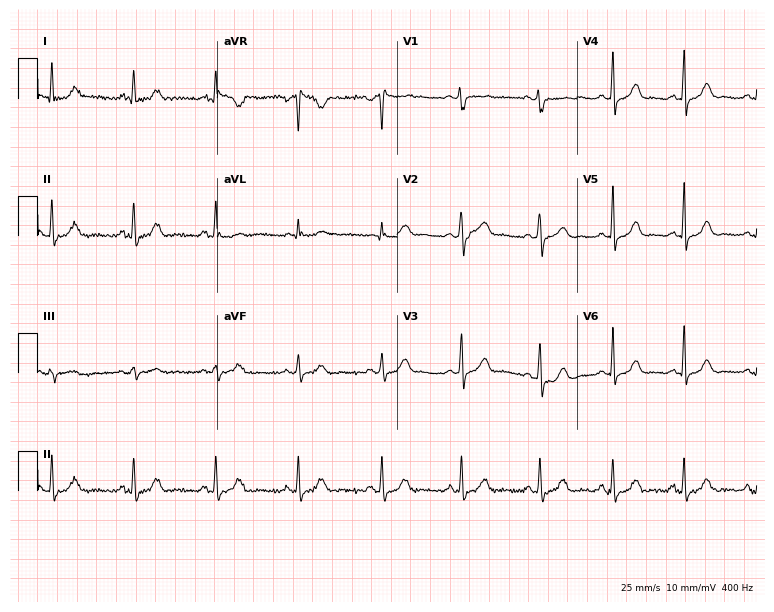
12-lead ECG from a 43-year-old female. Recorded interpretation: within normal limits.